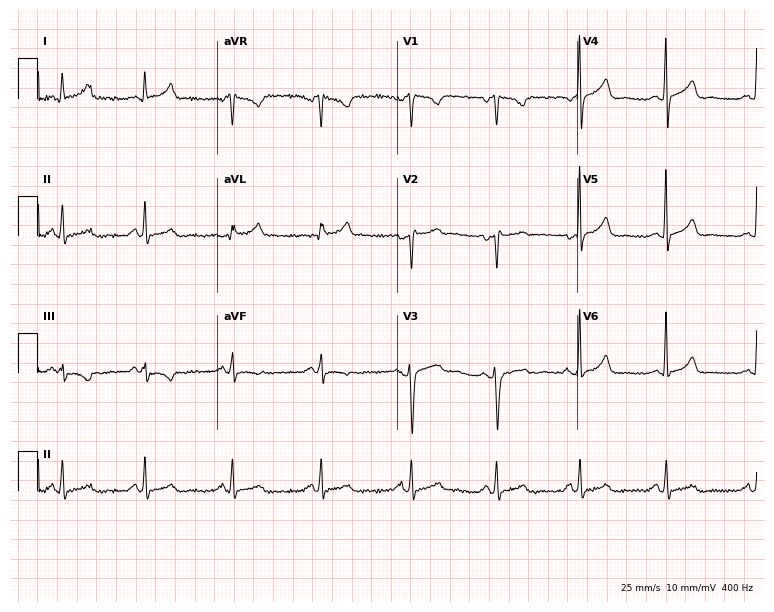
Standard 12-lead ECG recorded from a 43-year-old woman. None of these six findings is recorded: first-degree AV block, right bundle branch block, left bundle branch block, sinus bradycardia, atrial fibrillation, sinus tachycardia.